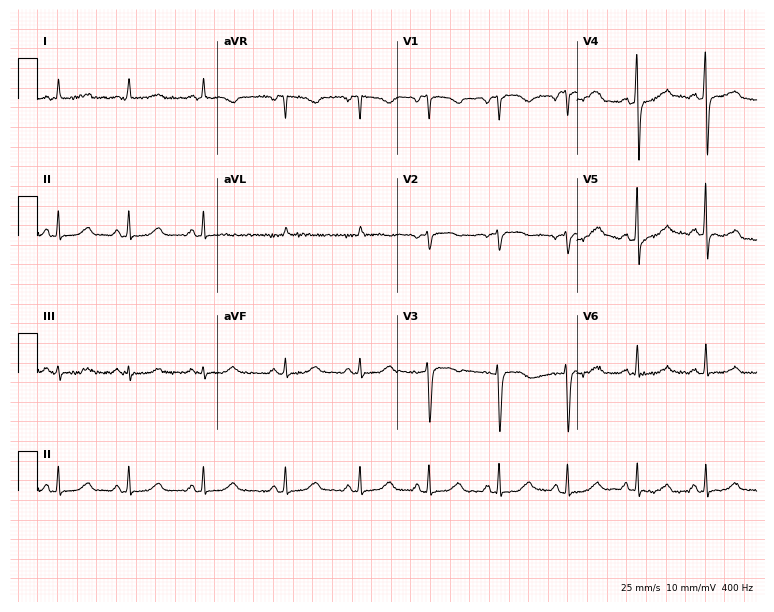
ECG (7.3-second recording at 400 Hz) — a 59-year-old woman. Screened for six findings — first-degree AV block, right bundle branch block, left bundle branch block, sinus bradycardia, atrial fibrillation, sinus tachycardia — none is recorded. Findings outside these six are not listed.